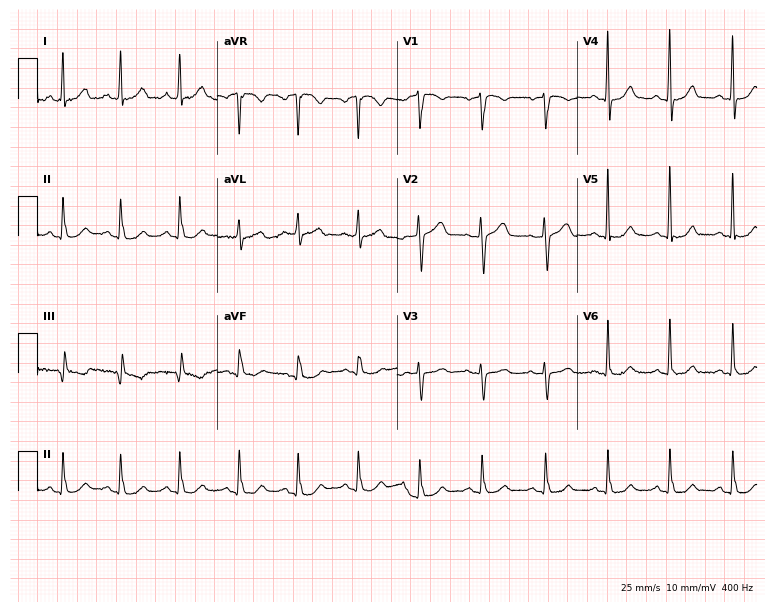
Electrocardiogram, a woman, 47 years old. Overall reading on record: normal ECG.